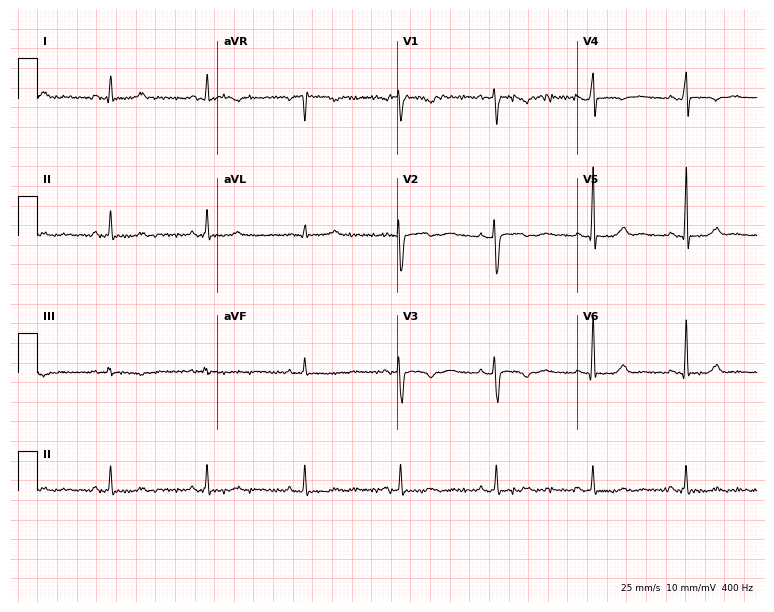
Standard 12-lead ECG recorded from a female patient, 28 years old. None of these six findings is recorded: first-degree AV block, right bundle branch block (RBBB), left bundle branch block (LBBB), sinus bradycardia, atrial fibrillation (AF), sinus tachycardia. Findings outside these six are not listed.